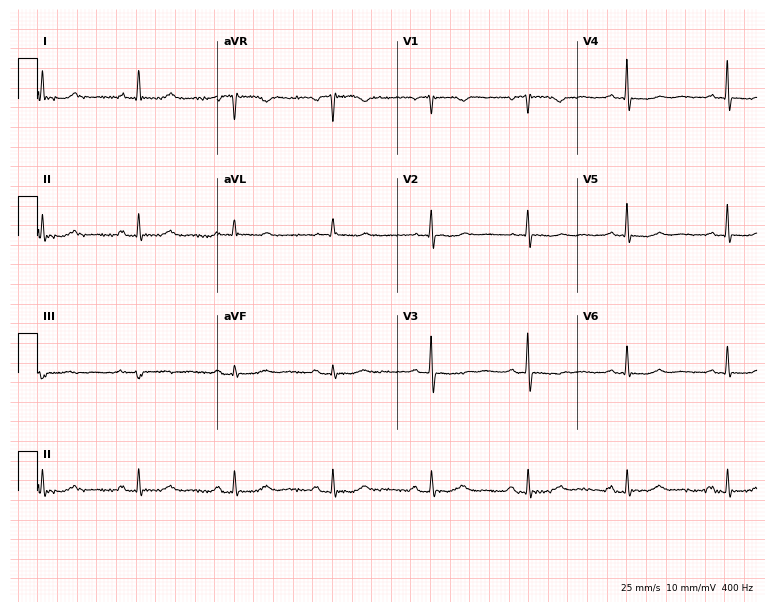
ECG (7.3-second recording at 400 Hz) — a 73-year-old female. Screened for six findings — first-degree AV block, right bundle branch block, left bundle branch block, sinus bradycardia, atrial fibrillation, sinus tachycardia — none is recorded.